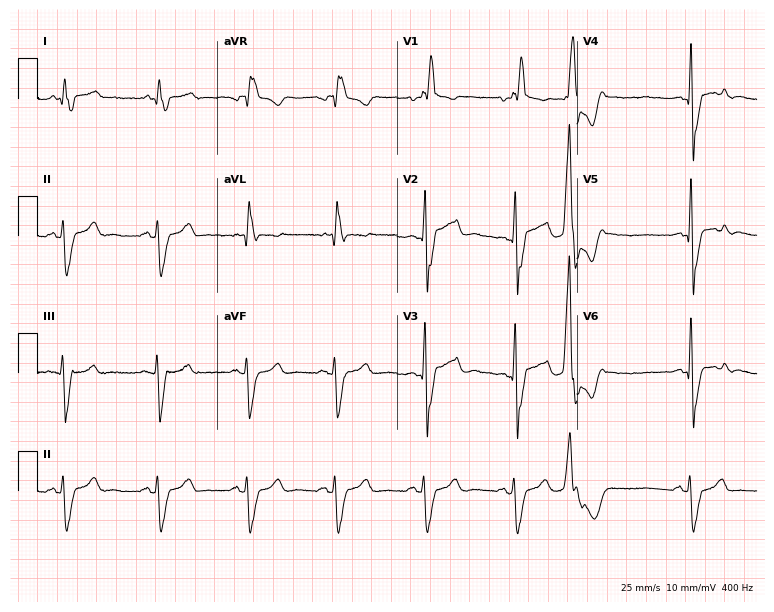
12-lead ECG from a male, 58 years old. Shows right bundle branch block (RBBB).